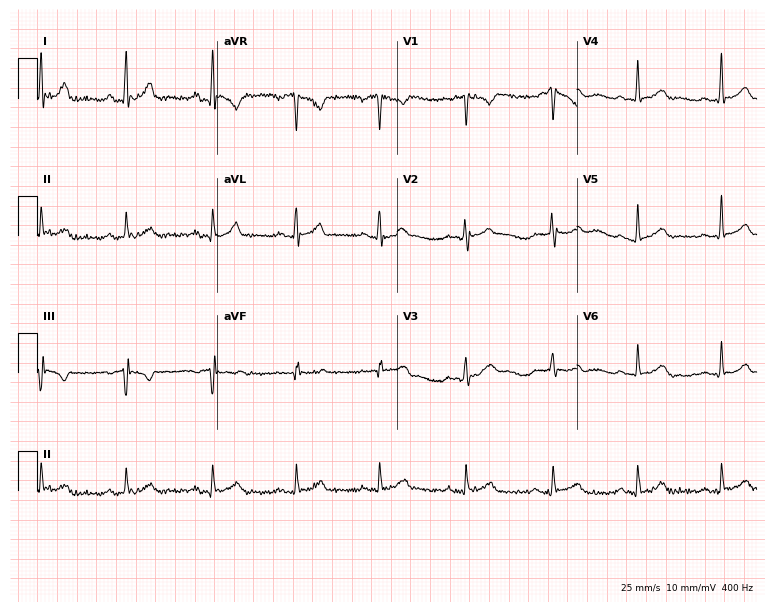
Resting 12-lead electrocardiogram. Patient: a 46-year-old man. Read as a normal ECG.